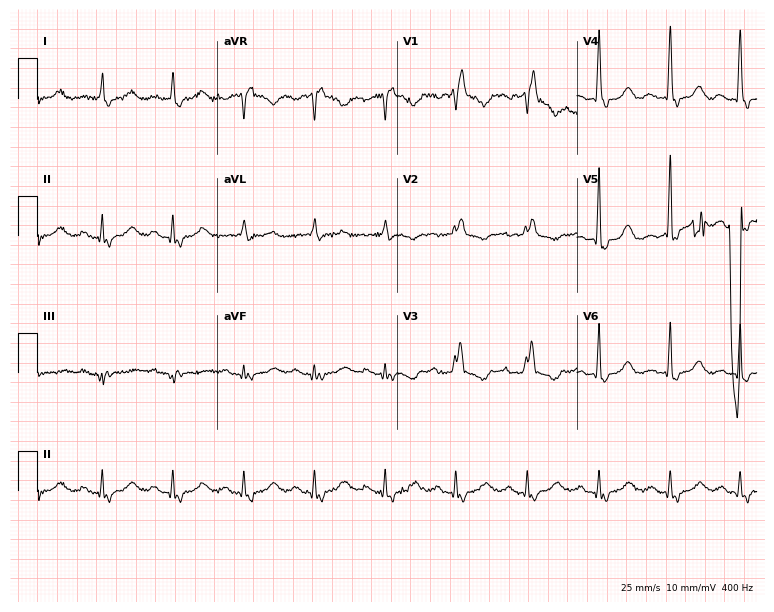
Resting 12-lead electrocardiogram. Patient: an 81-year-old female. The tracing shows right bundle branch block.